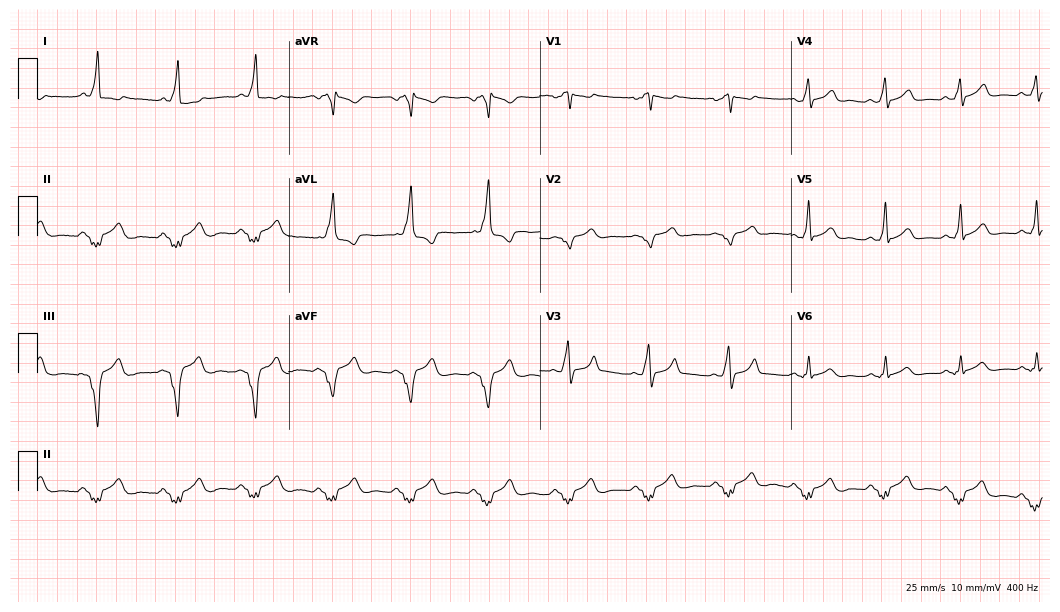
Resting 12-lead electrocardiogram. Patient: a 33-year-old man. None of these six findings is recorded: first-degree AV block, right bundle branch block, left bundle branch block, sinus bradycardia, atrial fibrillation, sinus tachycardia.